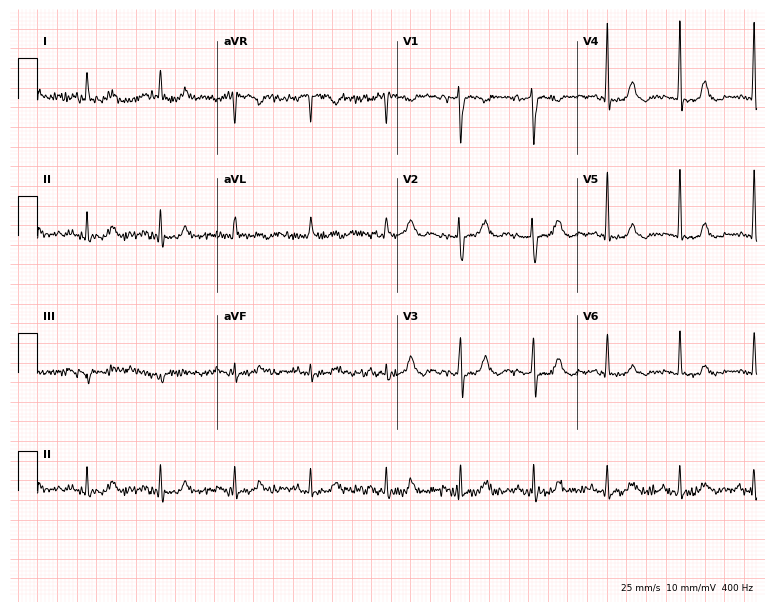
12-lead ECG from a 74-year-old woman. No first-degree AV block, right bundle branch block, left bundle branch block, sinus bradycardia, atrial fibrillation or sinus tachycardia recorded for this tracing. Findings outside these six are not listed.